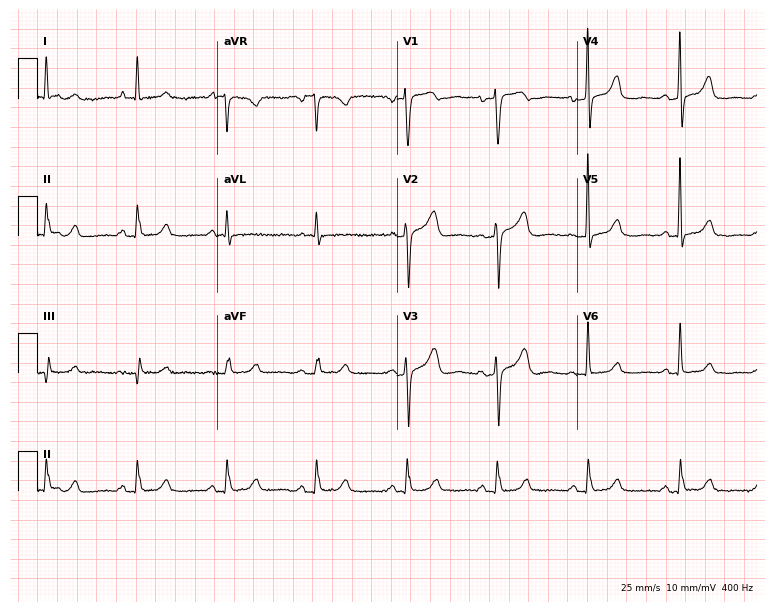
ECG (7.3-second recording at 400 Hz) — a woman, 69 years old. Labelled as a normal ECG.